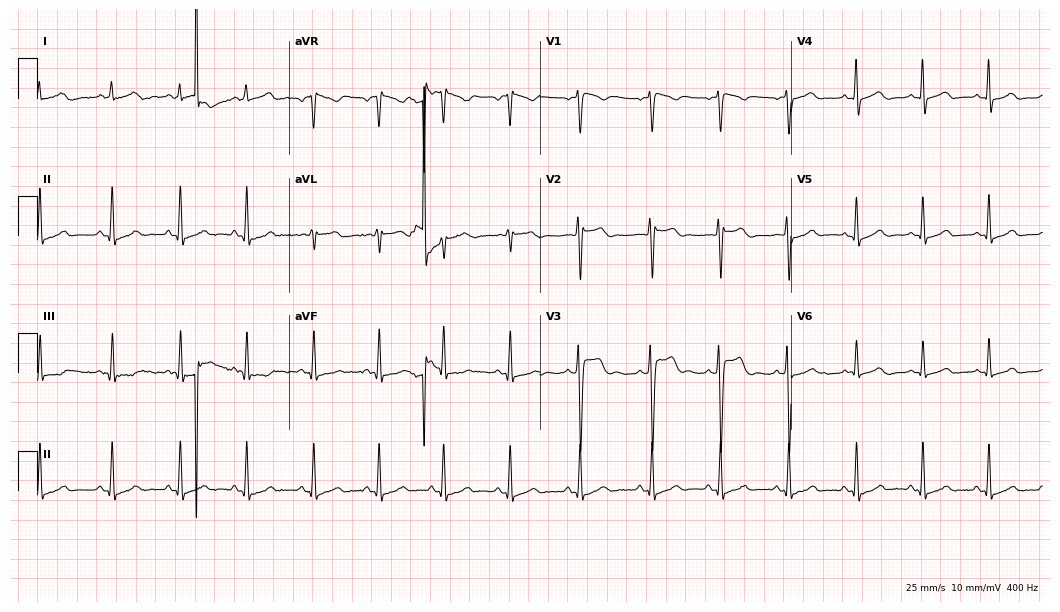
Standard 12-lead ECG recorded from a 22-year-old woman (10.2-second recording at 400 Hz). None of these six findings is recorded: first-degree AV block, right bundle branch block, left bundle branch block, sinus bradycardia, atrial fibrillation, sinus tachycardia. Findings outside these six are not listed.